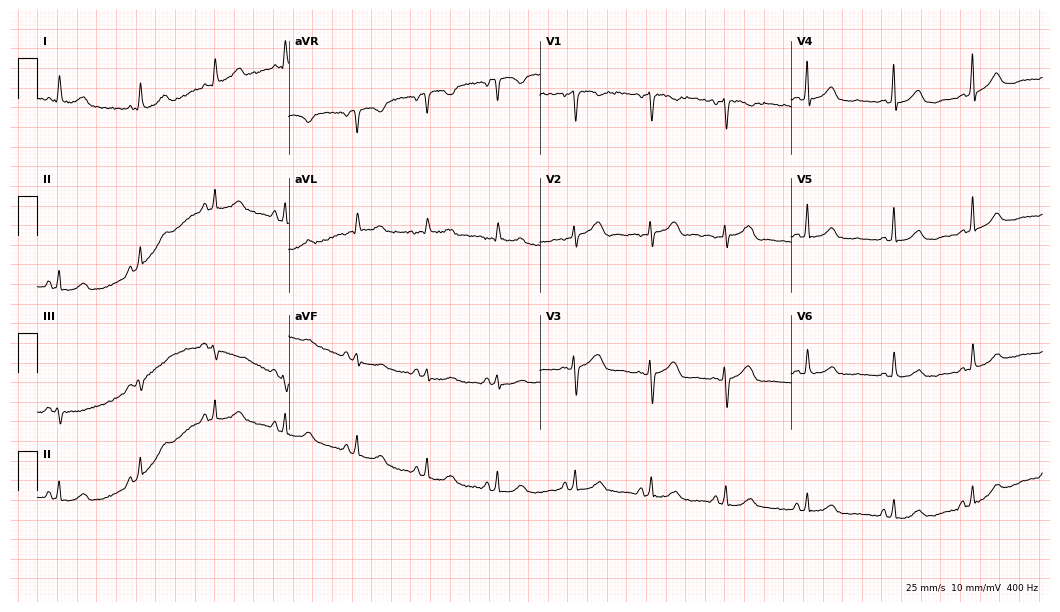
Resting 12-lead electrocardiogram (10.2-second recording at 400 Hz). Patient: a female, 49 years old. Read as a normal ECG.